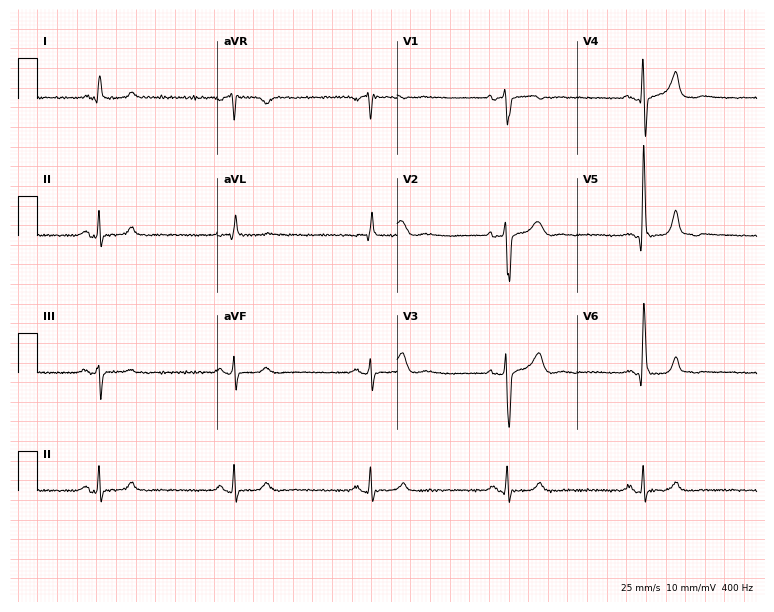
Resting 12-lead electrocardiogram (7.3-second recording at 400 Hz). Patient: an 80-year-old male. The tracing shows sinus bradycardia (a sinus rate of 50 beats per minute or less).